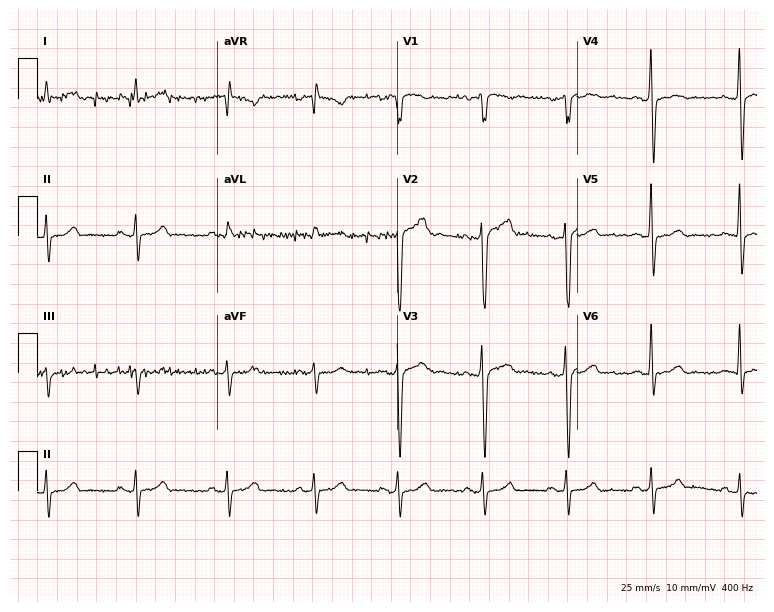
Resting 12-lead electrocardiogram (7.3-second recording at 400 Hz). Patient: a male, 29 years old. None of these six findings is recorded: first-degree AV block, right bundle branch block, left bundle branch block, sinus bradycardia, atrial fibrillation, sinus tachycardia. Only these six findings were labelled.